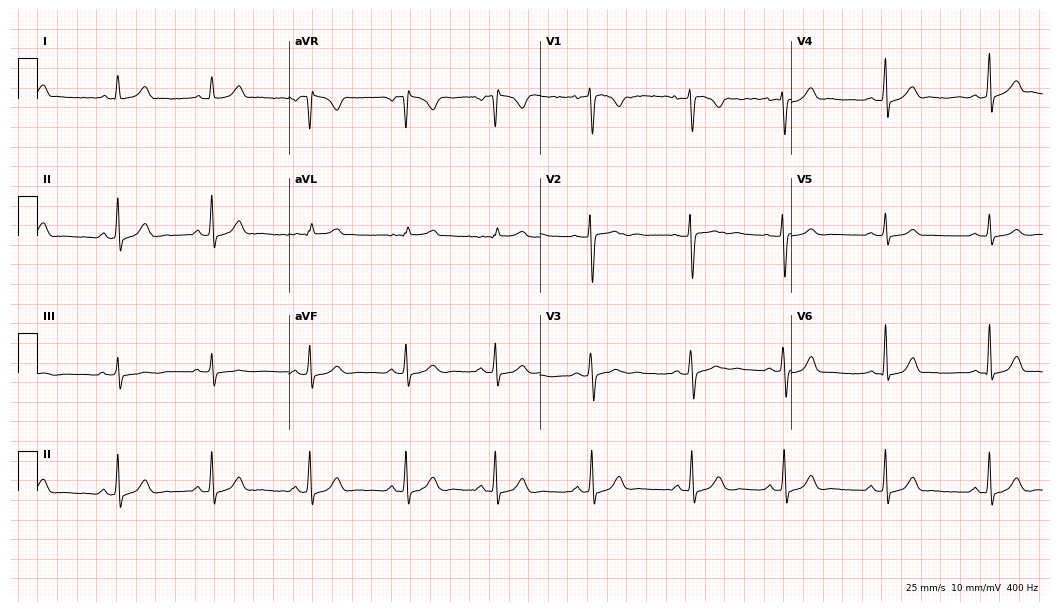
Electrocardiogram (10.2-second recording at 400 Hz), a woman, 33 years old. Overall reading on record: normal ECG.